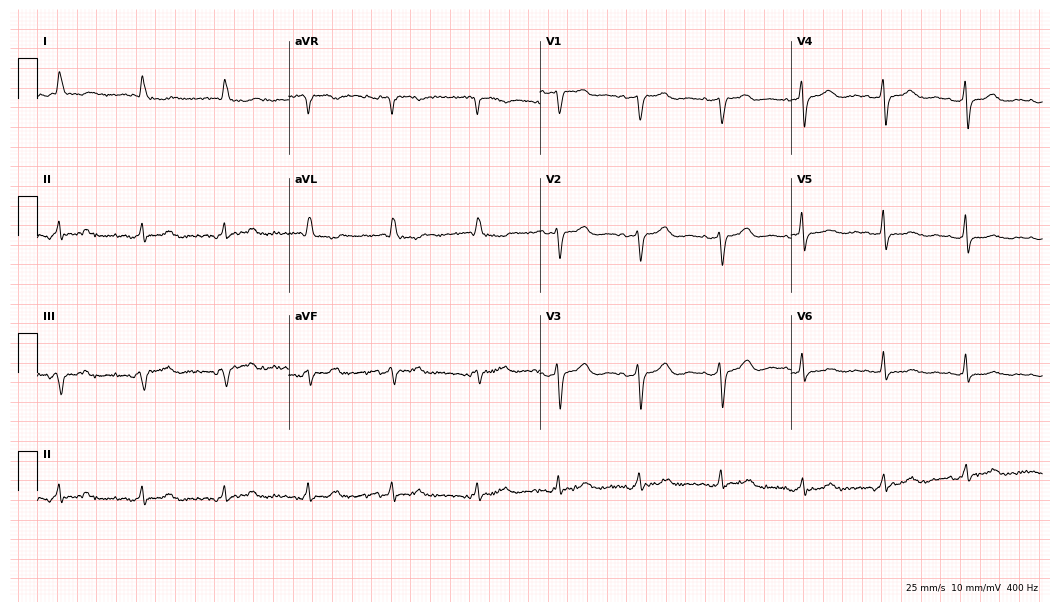
ECG — a woman, 83 years old. Screened for six findings — first-degree AV block, right bundle branch block (RBBB), left bundle branch block (LBBB), sinus bradycardia, atrial fibrillation (AF), sinus tachycardia — none is recorded.